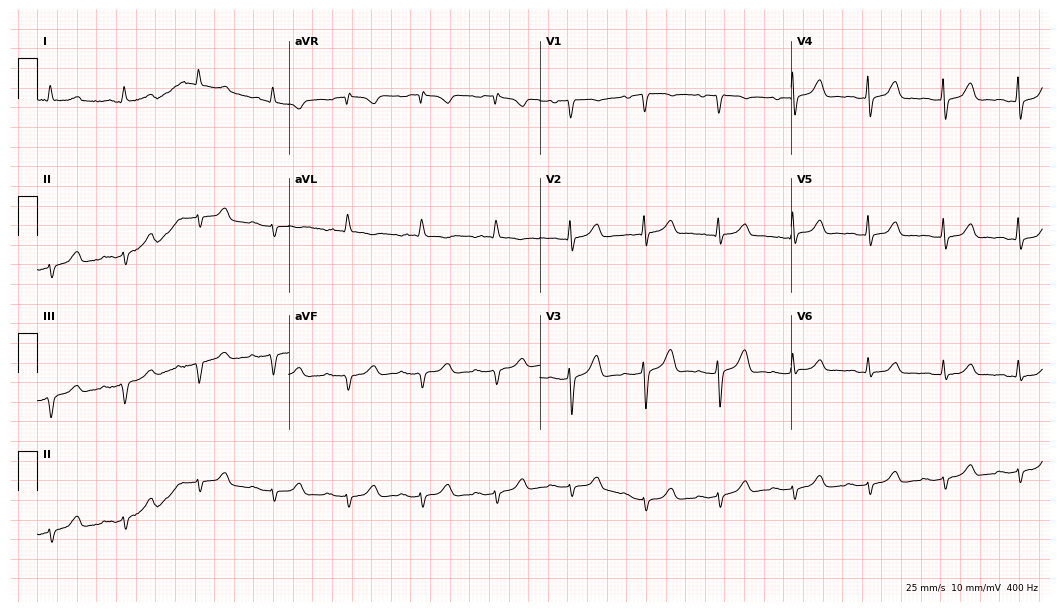
Electrocardiogram, a woman, 81 years old. Of the six screened findings (first-degree AV block, right bundle branch block, left bundle branch block, sinus bradycardia, atrial fibrillation, sinus tachycardia), none is recorded. Findings outside these six are not listed.